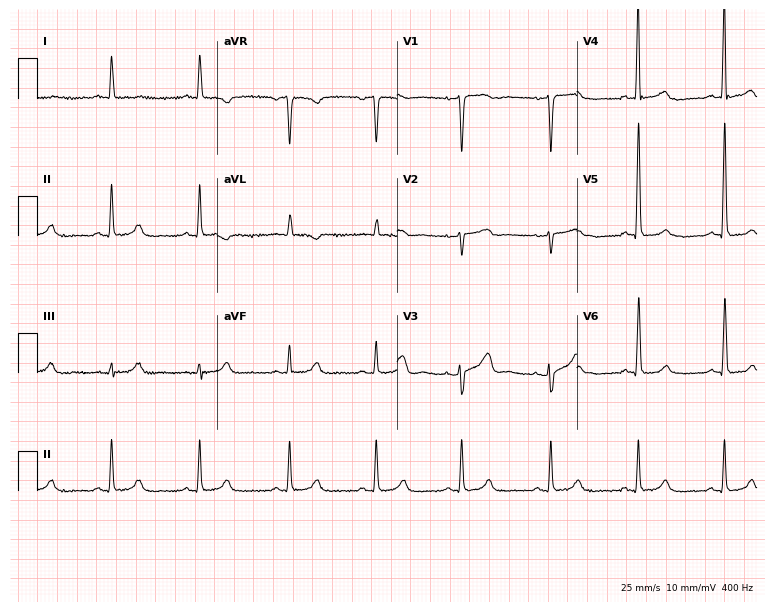
Standard 12-lead ECG recorded from a female, 83 years old. None of these six findings is recorded: first-degree AV block, right bundle branch block (RBBB), left bundle branch block (LBBB), sinus bradycardia, atrial fibrillation (AF), sinus tachycardia. Other findings, if any, are not listed.